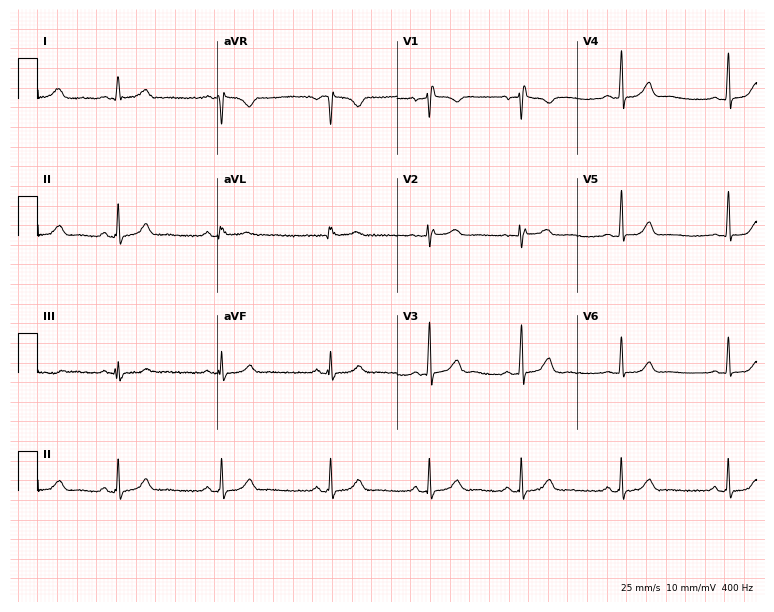
Standard 12-lead ECG recorded from a female, 18 years old. Read as a normal ECG.